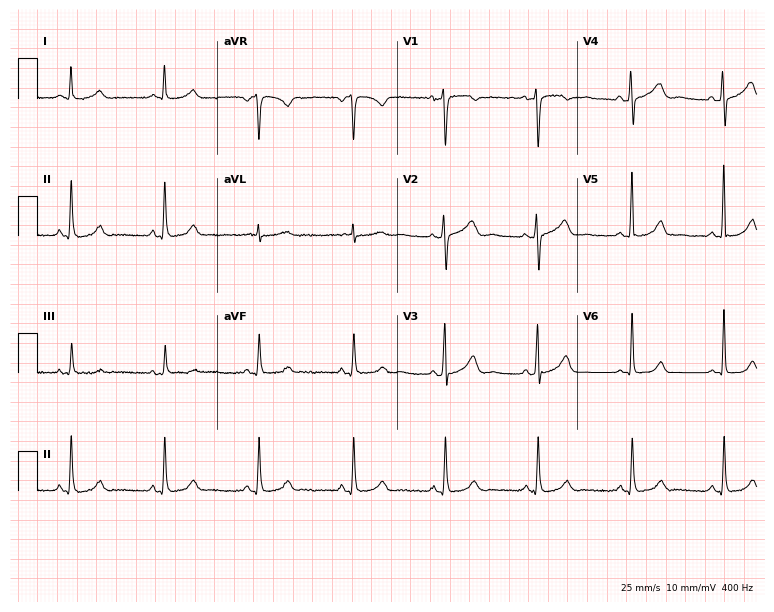
ECG — a 45-year-old woman. Labelled as a normal ECG.